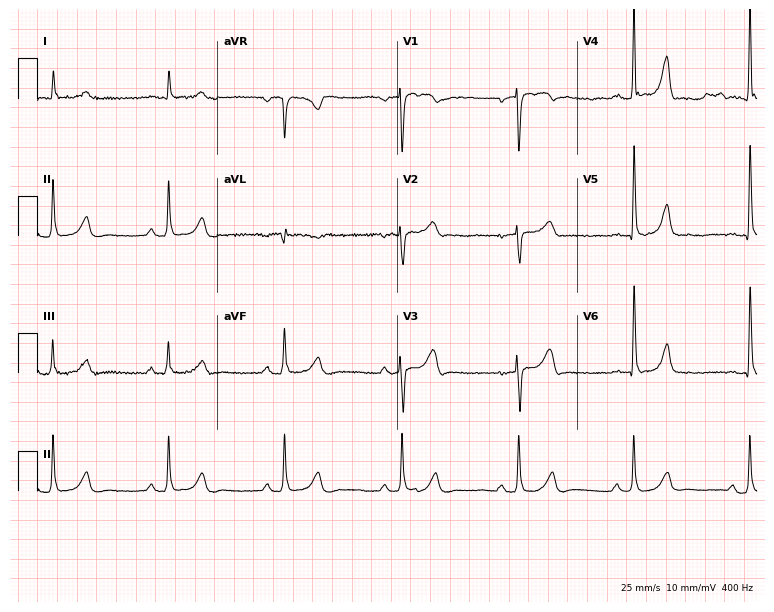
12-lead ECG from a man, 64 years old. Labelled as a normal ECG.